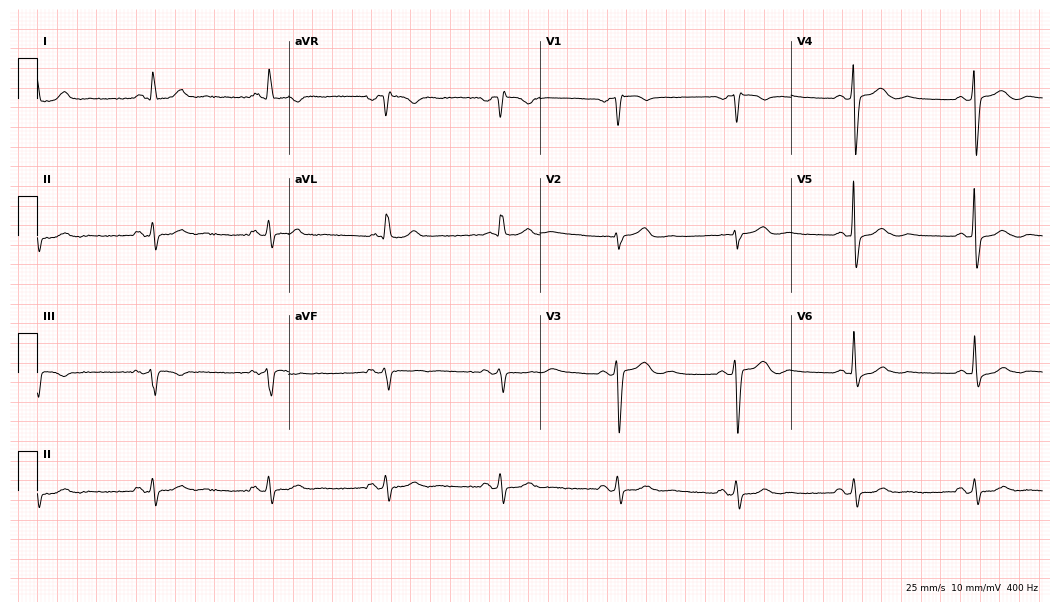
Electrocardiogram (10.2-second recording at 400 Hz), a male patient, 67 years old. Of the six screened findings (first-degree AV block, right bundle branch block, left bundle branch block, sinus bradycardia, atrial fibrillation, sinus tachycardia), none is recorded.